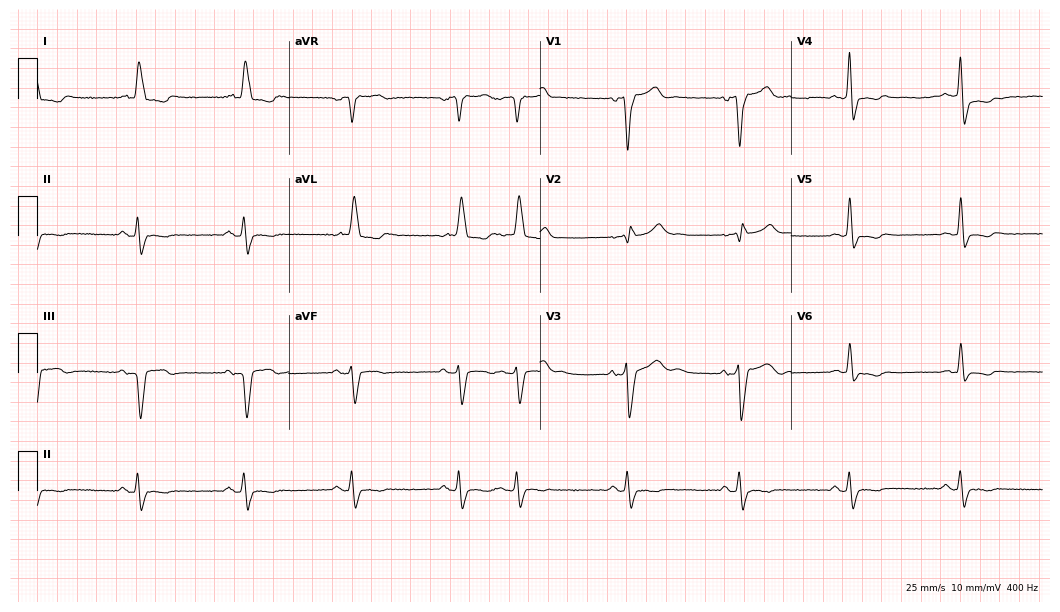
Resting 12-lead electrocardiogram. Patient: a 70-year-old man. The tracing shows left bundle branch block (LBBB).